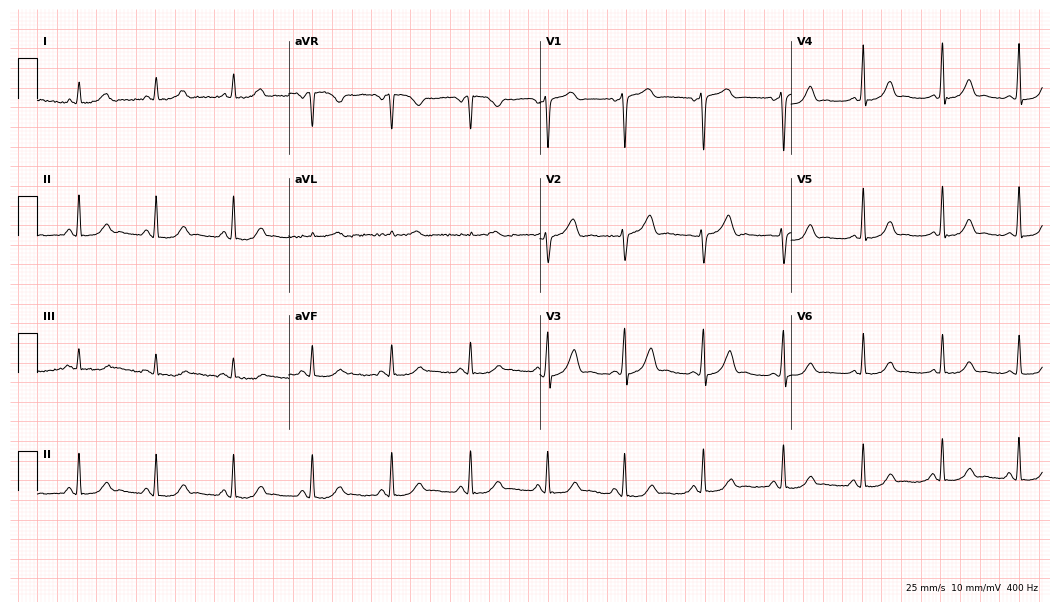
ECG — a 43-year-old female. Labelled as a normal ECG.